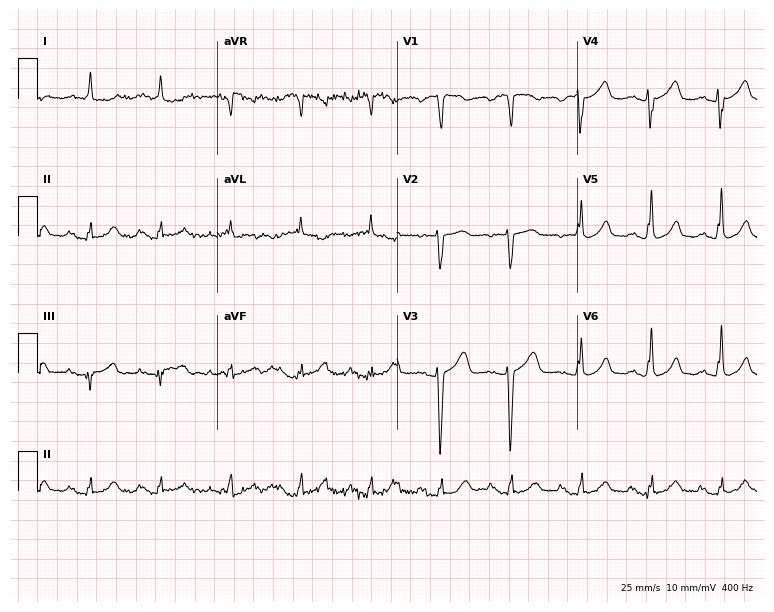
12-lead ECG from an 81-year-old male patient. No first-degree AV block, right bundle branch block, left bundle branch block, sinus bradycardia, atrial fibrillation or sinus tachycardia recorded for this tracing.